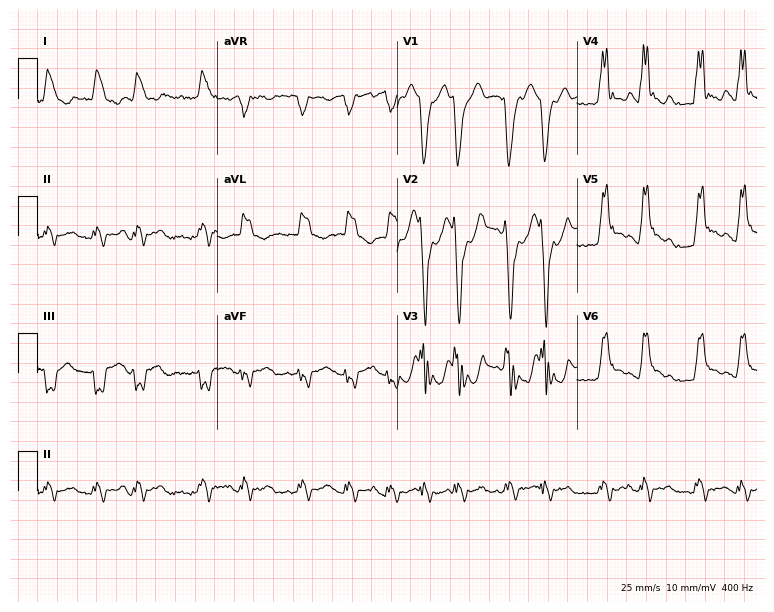
Resting 12-lead electrocardiogram (7.3-second recording at 400 Hz). Patient: a man, 75 years old. The tracing shows left bundle branch block, atrial fibrillation.